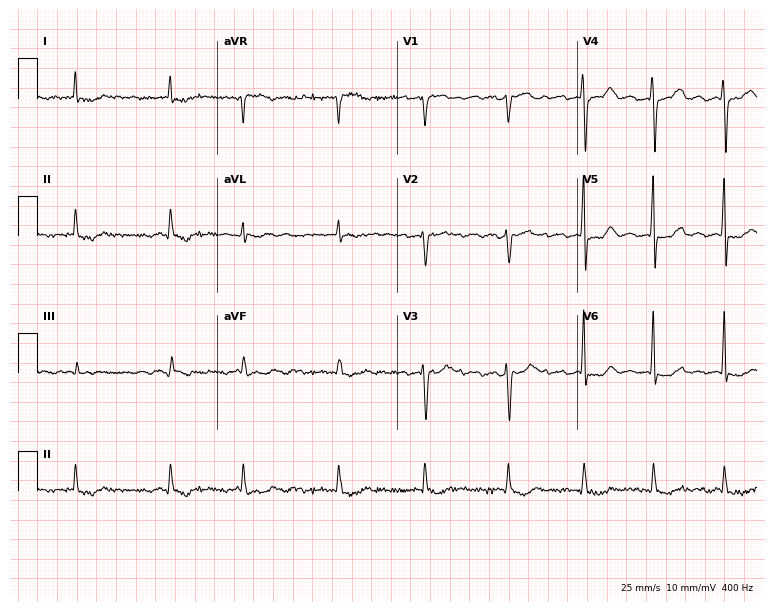
12-lead ECG (7.3-second recording at 400 Hz) from a male, 77 years old. Screened for six findings — first-degree AV block, right bundle branch block, left bundle branch block, sinus bradycardia, atrial fibrillation, sinus tachycardia — none is recorded. Findings outside these six are not listed.